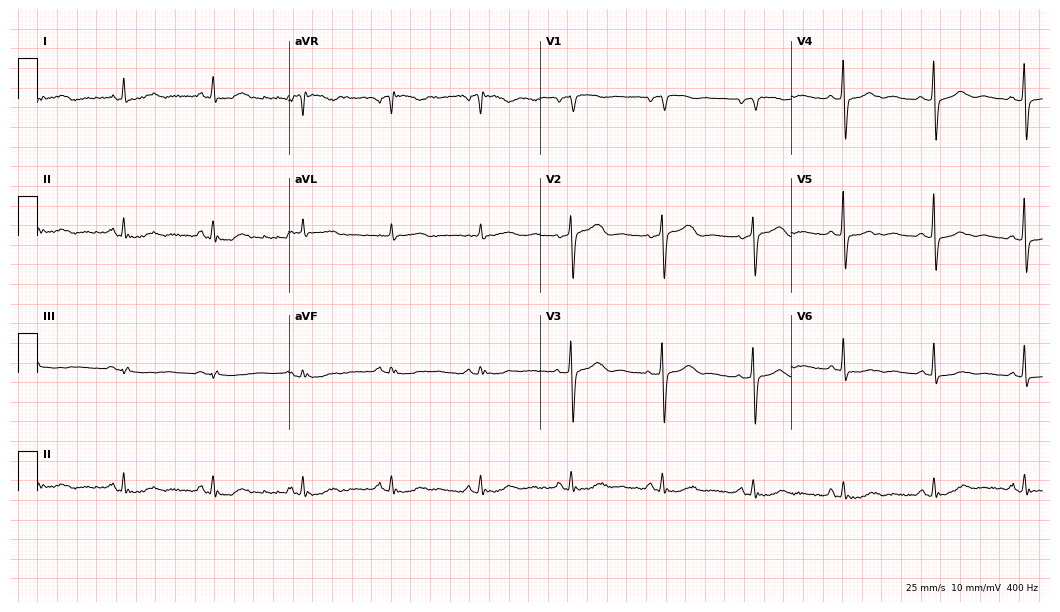
12-lead ECG from a female patient, 63 years old. Labelled as a normal ECG.